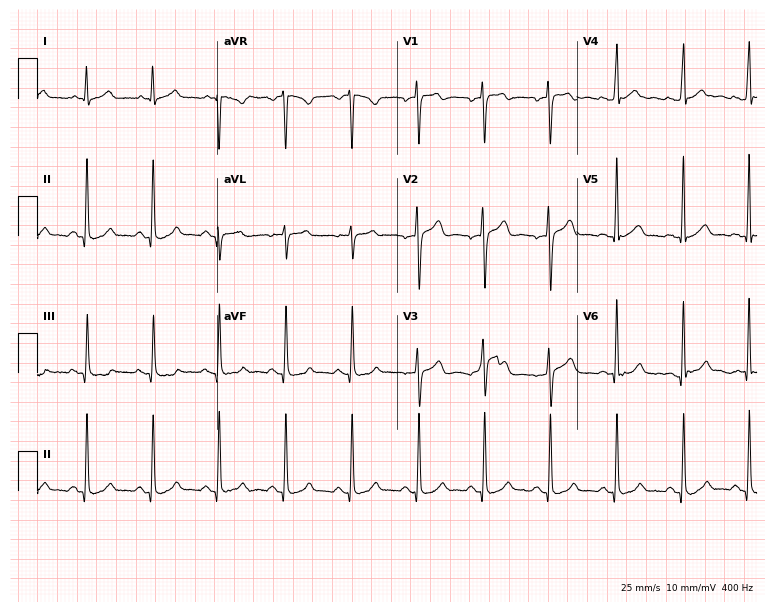
Resting 12-lead electrocardiogram (7.3-second recording at 400 Hz). Patient: a 27-year-old male. Read as a normal ECG.